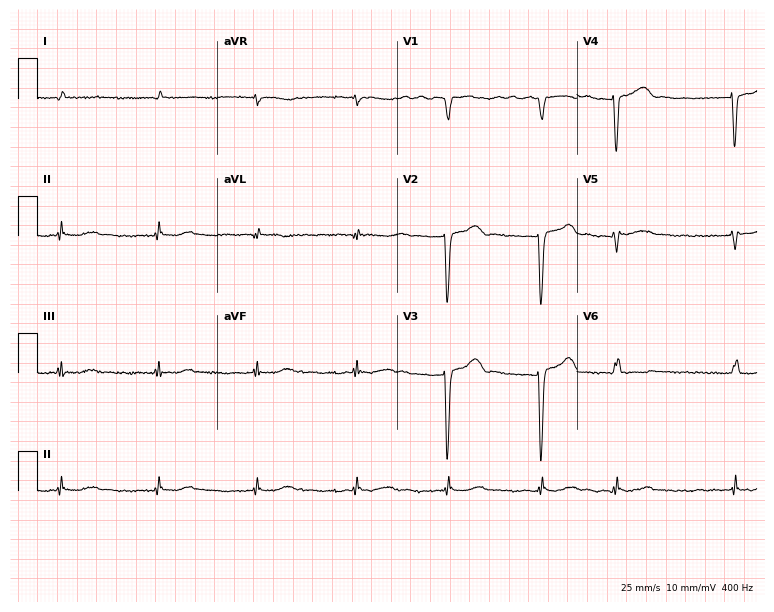
Electrocardiogram (7.3-second recording at 400 Hz), a 65-year-old male patient. Interpretation includes atrial fibrillation.